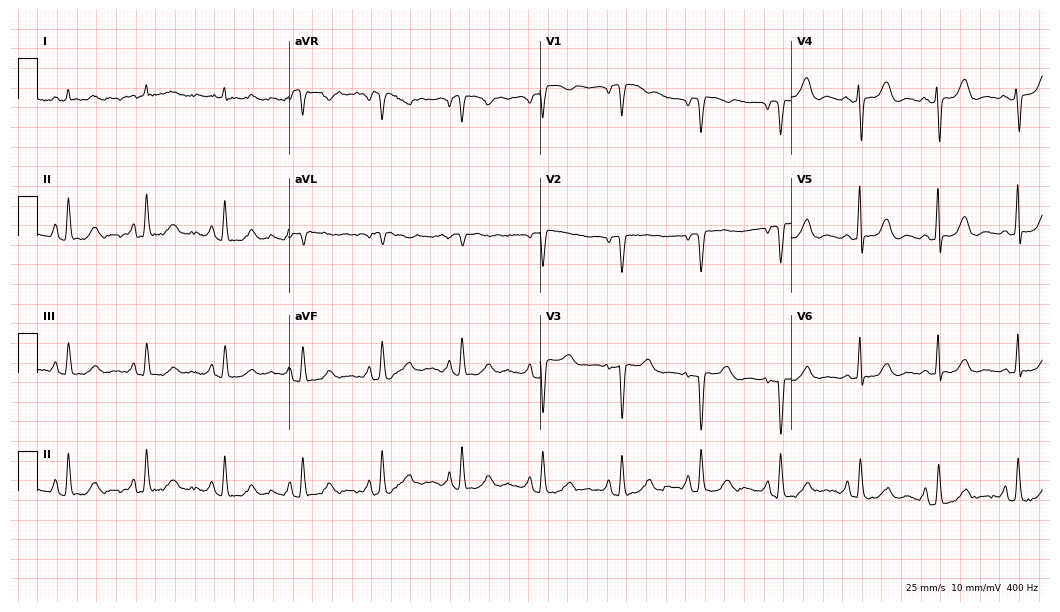
12-lead ECG from an 81-year-old female patient (10.2-second recording at 400 Hz). Recorded interpretation: within normal limits.